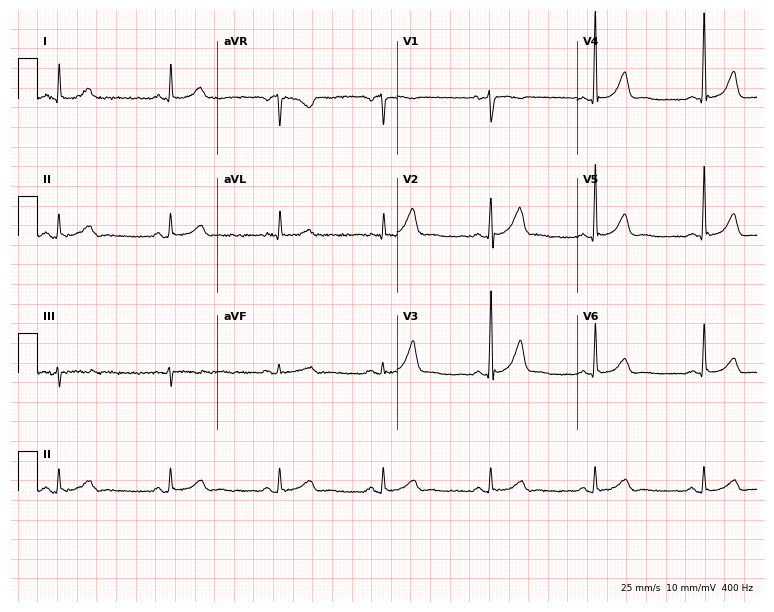
12-lead ECG from a female, 58 years old. Labelled as a normal ECG.